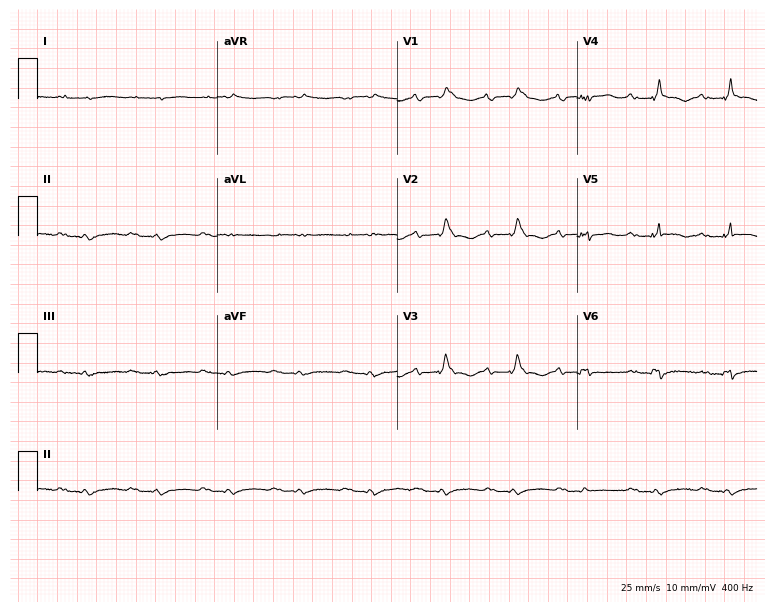
12-lead ECG (7.3-second recording at 400 Hz) from a 50-year-old man. Screened for six findings — first-degree AV block, right bundle branch block (RBBB), left bundle branch block (LBBB), sinus bradycardia, atrial fibrillation (AF), sinus tachycardia — none is recorded. Findings outside these six are not listed.